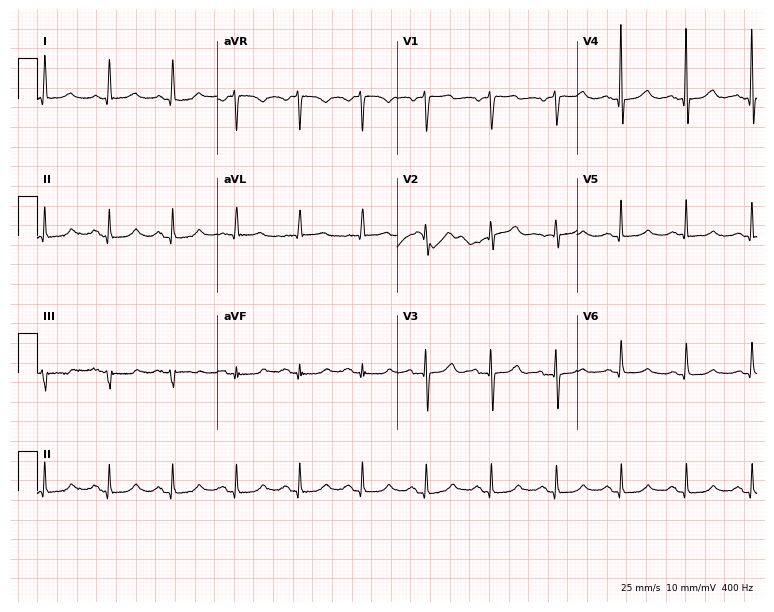
Electrocardiogram (7.3-second recording at 400 Hz), a female, 77 years old. Overall reading on record: normal ECG.